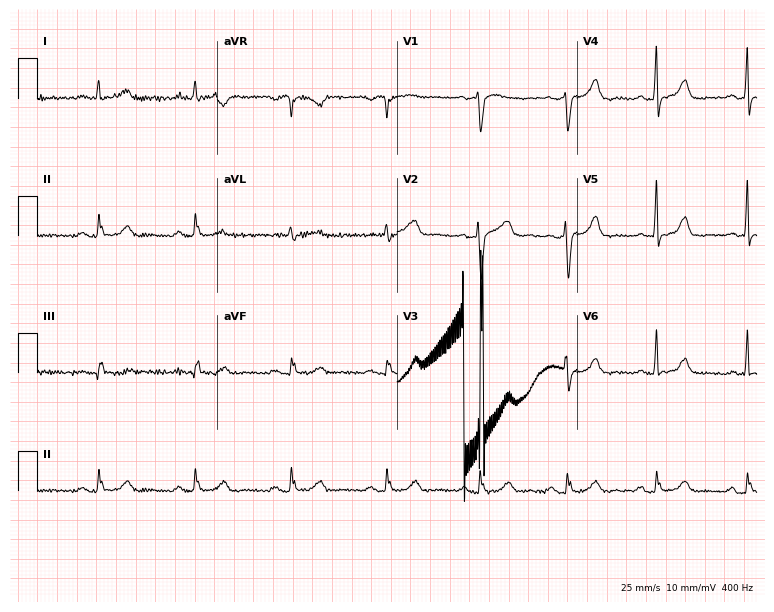
ECG (7.3-second recording at 400 Hz) — a 59-year-old female patient. Screened for six findings — first-degree AV block, right bundle branch block, left bundle branch block, sinus bradycardia, atrial fibrillation, sinus tachycardia — none is recorded. Findings outside these six are not listed.